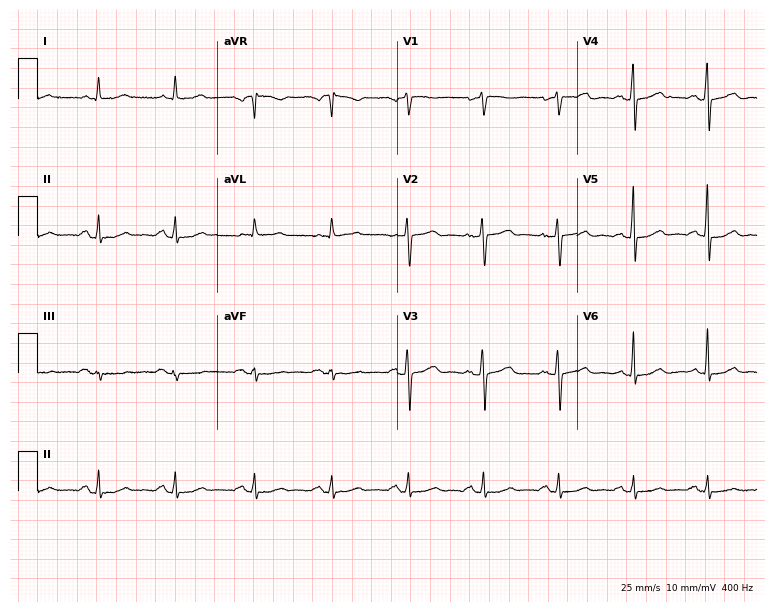
12-lead ECG (7.3-second recording at 400 Hz) from a man, 81 years old. Screened for six findings — first-degree AV block, right bundle branch block, left bundle branch block, sinus bradycardia, atrial fibrillation, sinus tachycardia — none is recorded. Only these six findings were labelled.